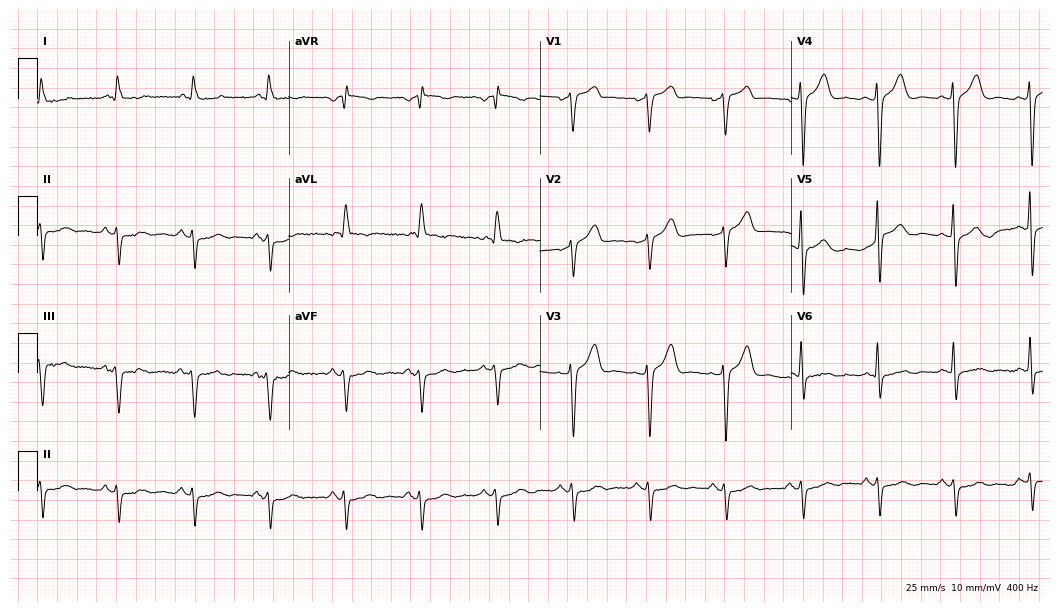
12-lead ECG from a 75-year-old male patient. Screened for six findings — first-degree AV block, right bundle branch block, left bundle branch block, sinus bradycardia, atrial fibrillation, sinus tachycardia — none is recorded. Findings outside these six are not listed.